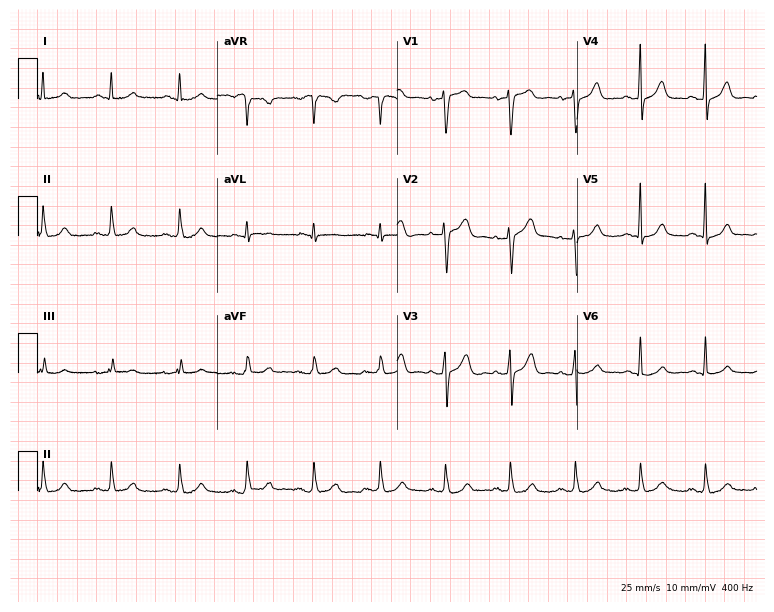
12-lead ECG (7.3-second recording at 400 Hz) from a 51-year-old man. Labelled as a normal ECG.